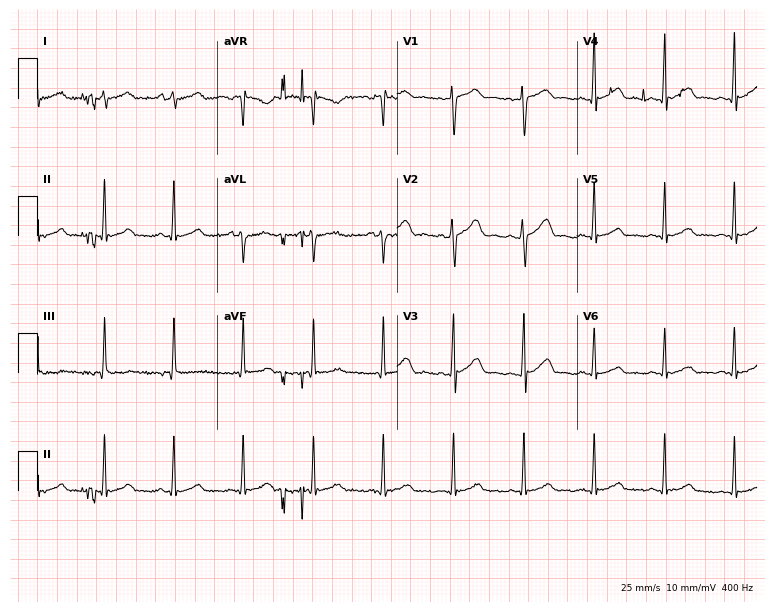
Electrocardiogram (7.3-second recording at 400 Hz), a male patient, 22 years old. Overall reading on record: normal ECG.